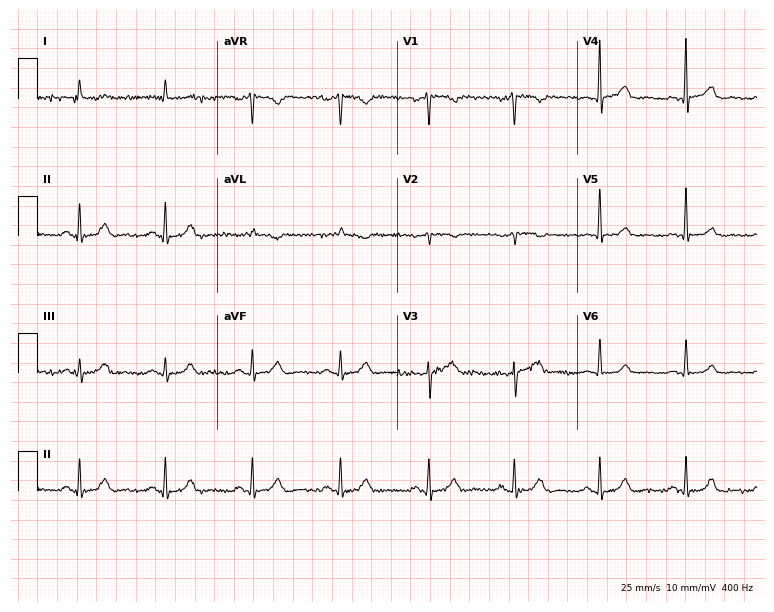
12-lead ECG from a man, 77 years old. Screened for six findings — first-degree AV block, right bundle branch block, left bundle branch block, sinus bradycardia, atrial fibrillation, sinus tachycardia — none is recorded. Findings outside these six are not listed.